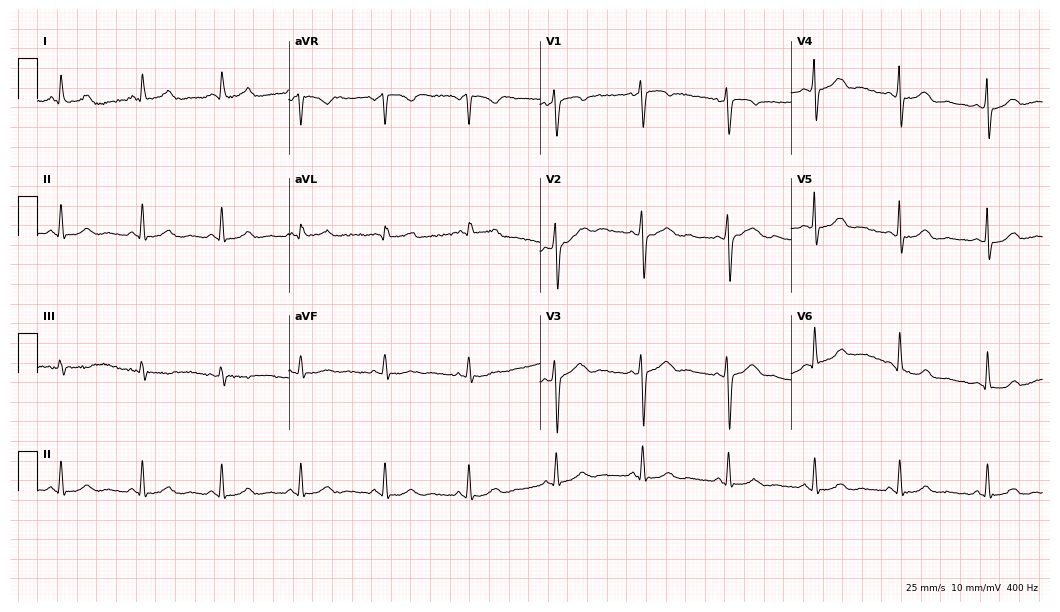
Standard 12-lead ECG recorded from a 45-year-old female (10.2-second recording at 400 Hz). Read as a normal ECG.